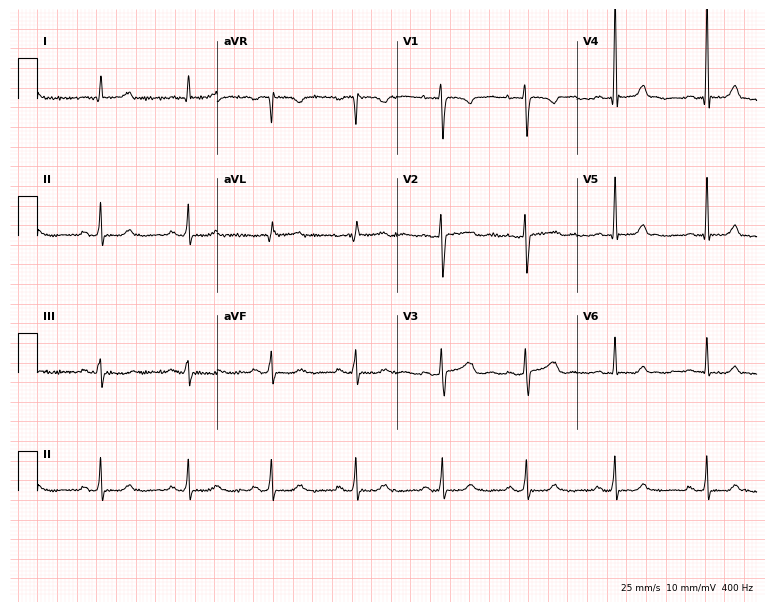
12-lead ECG from a 28-year-old female patient (7.3-second recording at 400 Hz). Recorded interpretation: within normal limits.